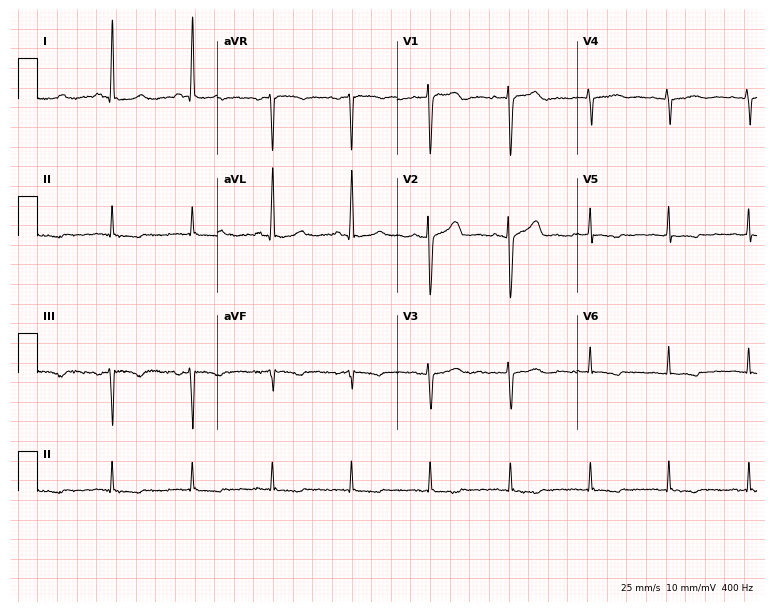
Resting 12-lead electrocardiogram (7.3-second recording at 400 Hz). Patient: a 55-year-old woman. None of these six findings is recorded: first-degree AV block, right bundle branch block, left bundle branch block, sinus bradycardia, atrial fibrillation, sinus tachycardia. Only these six findings were labelled.